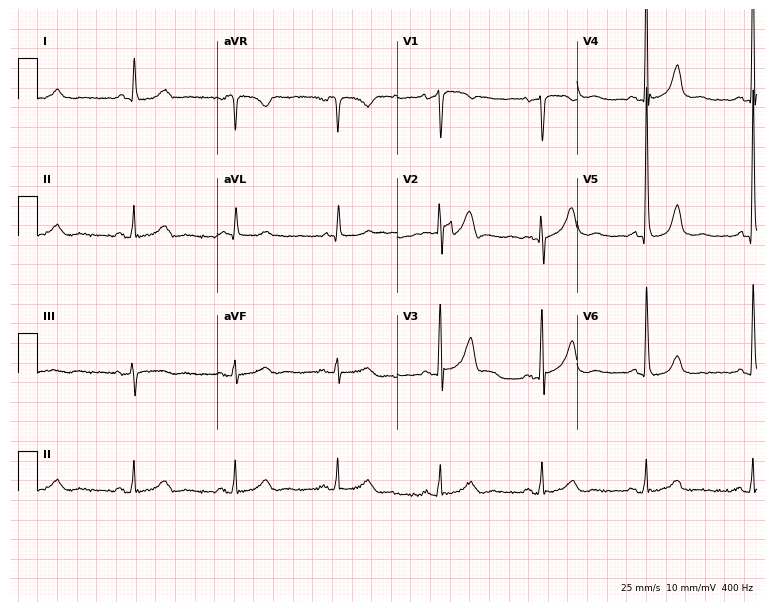
Electrocardiogram, a male, 51 years old. Overall reading on record: normal ECG.